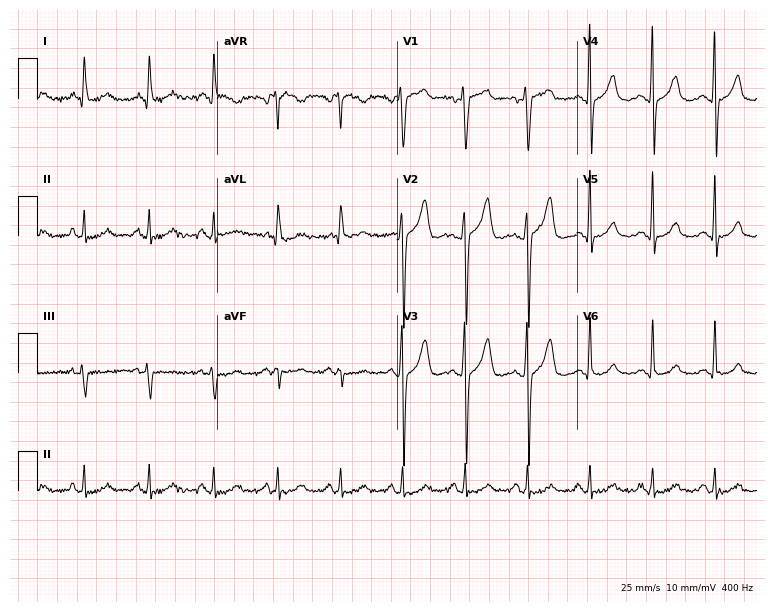
ECG — a male patient, 49 years old. Screened for six findings — first-degree AV block, right bundle branch block (RBBB), left bundle branch block (LBBB), sinus bradycardia, atrial fibrillation (AF), sinus tachycardia — none is recorded.